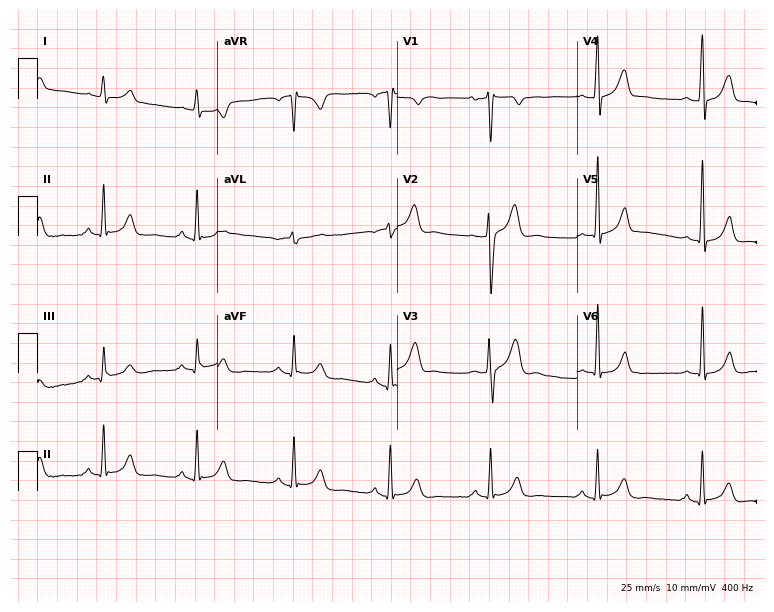
Resting 12-lead electrocardiogram (7.3-second recording at 400 Hz). Patient: a 36-year-old male. None of these six findings is recorded: first-degree AV block, right bundle branch block, left bundle branch block, sinus bradycardia, atrial fibrillation, sinus tachycardia.